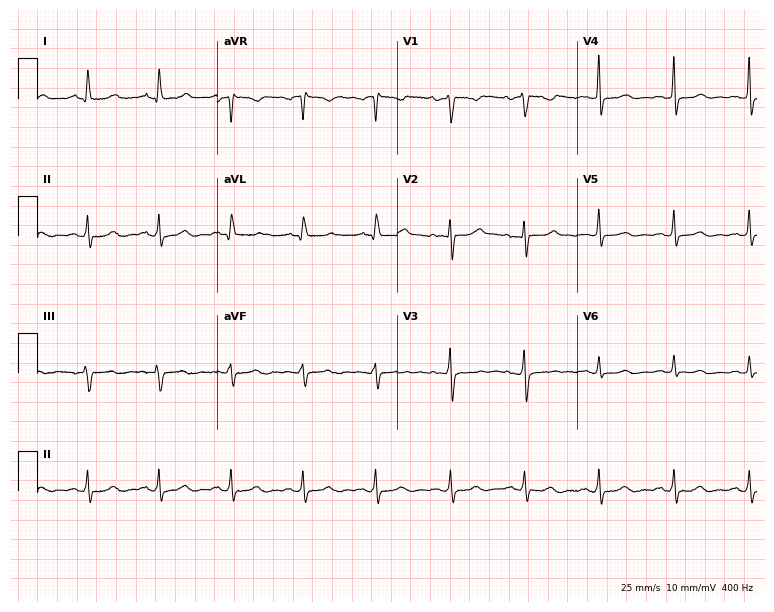
Standard 12-lead ECG recorded from a 44-year-old female patient (7.3-second recording at 400 Hz). None of these six findings is recorded: first-degree AV block, right bundle branch block, left bundle branch block, sinus bradycardia, atrial fibrillation, sinus tachycardia. Other findings, if any, are not listed.